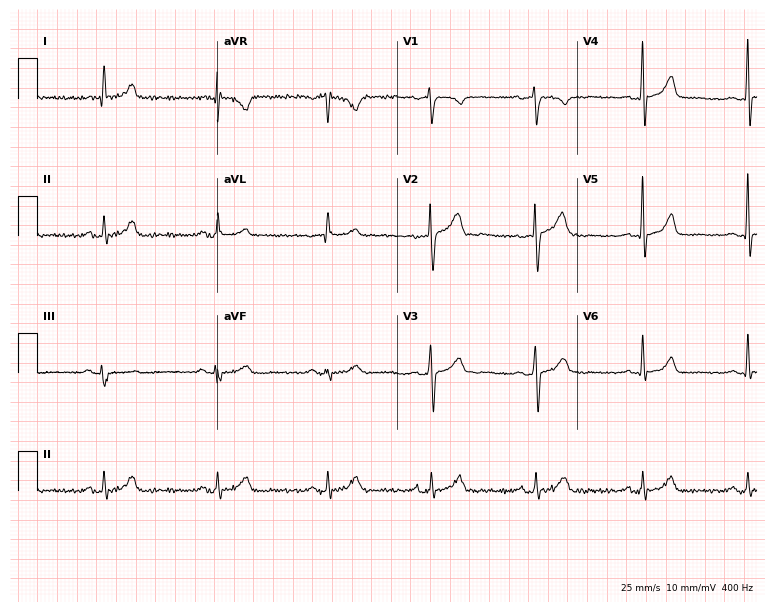
Resting 12-lead electrocardiogram. Patient: a 62-year-old male. None of these six findings is recorded: first-degree AV block, right bundle branch block, left bundle branch block, sinus bradycardia, atrial fibrillation, sinus tachycardia.